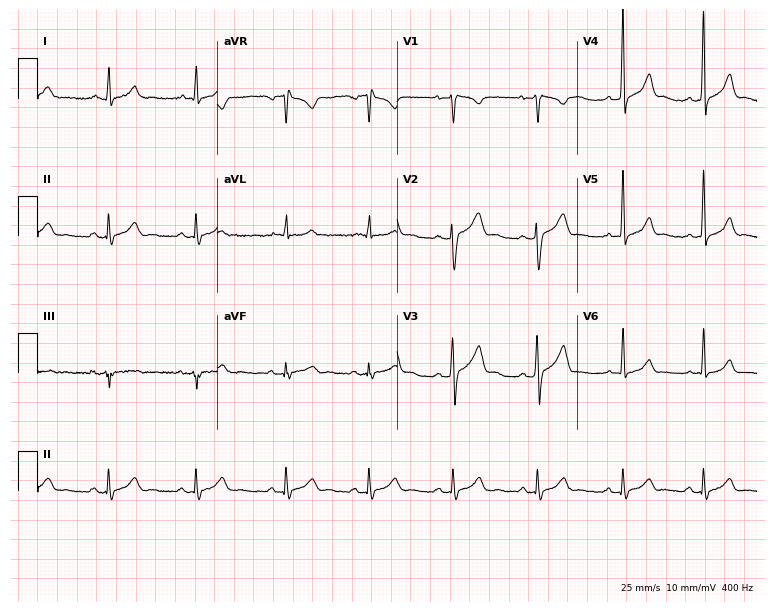
Standard 12-lead ECG recorded from a male, 32 years old. Read as a normal ECG.